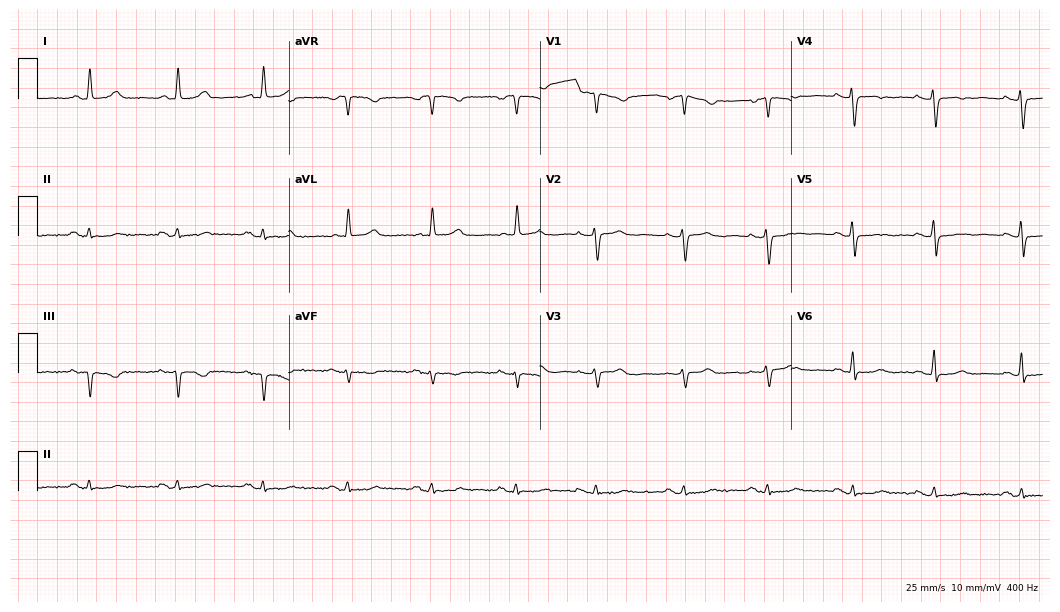
ECG (10.2-second recording at 400 Hz) — an 80-year-old woman. Screened for six findings — first-degree AV block, right bundle branch block, left bundle branch block, sinus bradycardia, atrial fibrillation, sinus tachycardia — none is recorded.